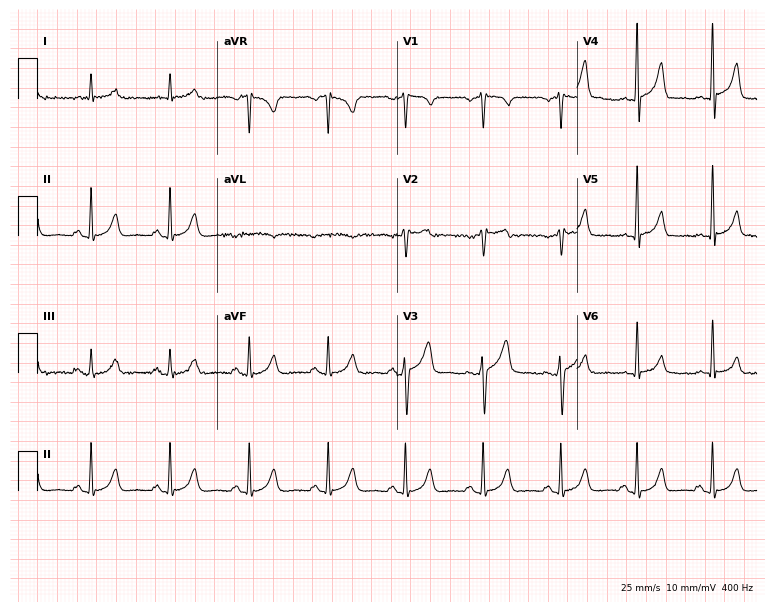
Electrocardiogram, a male patient, 62 years old. Overall reading on record: normal ECG.